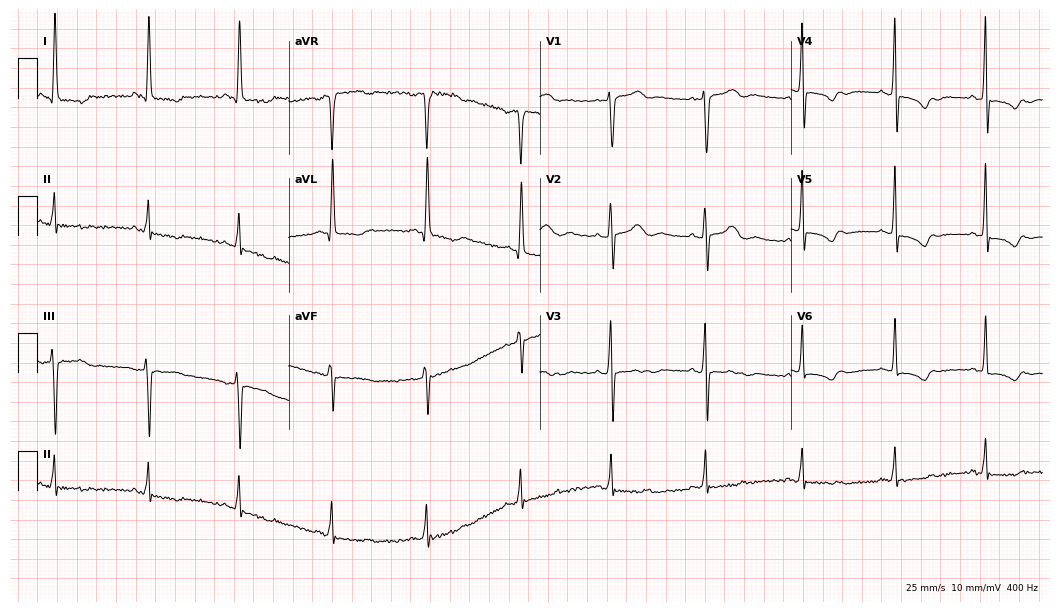
Standard 12-lead ECG recorded from a woman, 68 years old (10.2-second recording at 400 Hz). None of these six findings is recorded: first-degree AV block, right bundle branch block, left bundle branch block, sinus bradycardia, atrial fibrillation, sinus tachycardia.